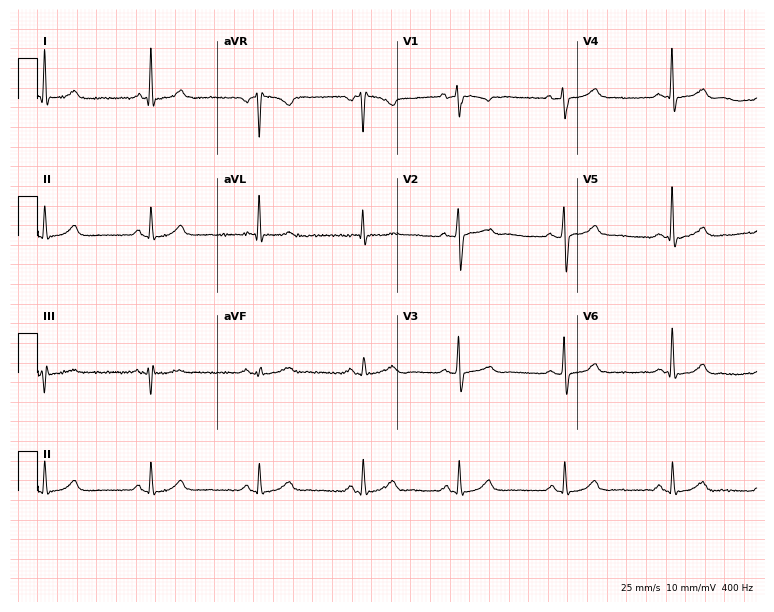
ECG (7.3-second recording at 400 Hz) — a male patient, 64 years old. Labelled as a normal ECG.